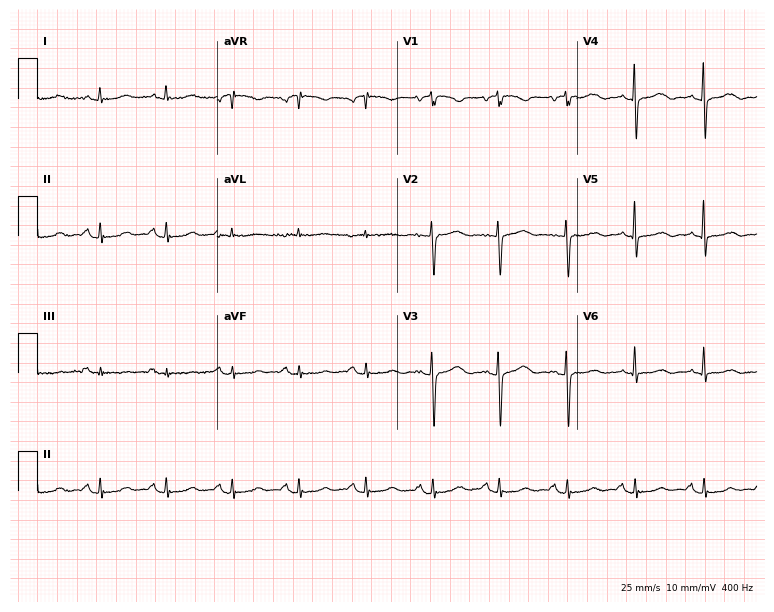
Resting 12-lead electrocardiogram. Patient: a 69-year-old female. None of these six findings is recorded: first-degree AV block, right bundle branch block (RBBB), left bundle branch block (LBBB), sinus bradycardia, atrial fibrillation (AF), sinus tachycardia.